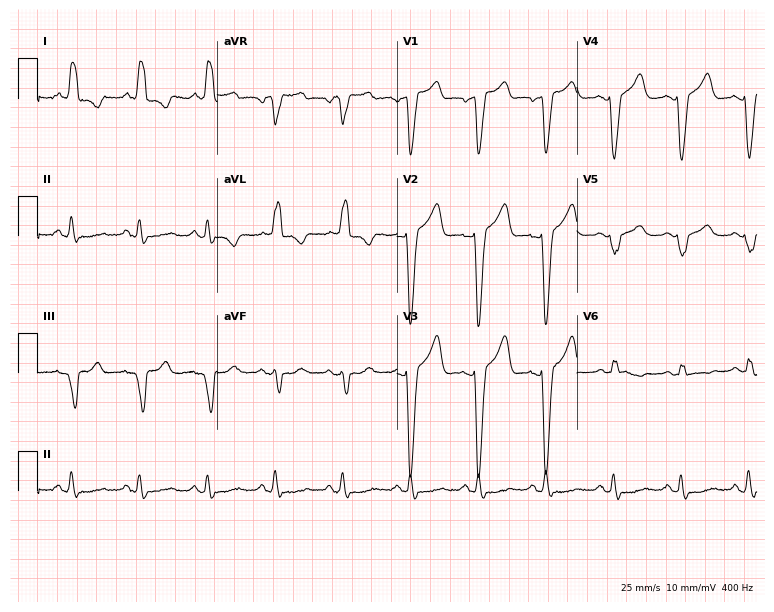
Standard 12-lead ECG recorded from a woman, 64 years old. The tracing shows left bundle branch block (LBBB).